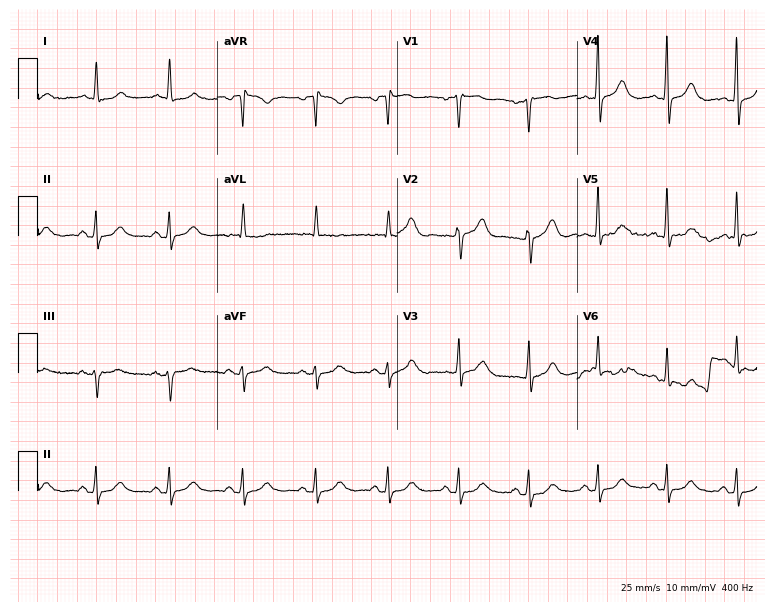
Standard 12-lead ECG recorded from a 68-year-old man. None of these six findings is recorded: first-degree AV block, right bundle branch block, left bundle branch block, sinus bradycardia, atrial fibrillation, sinus tachycardia. Findings outside these six are not listed.